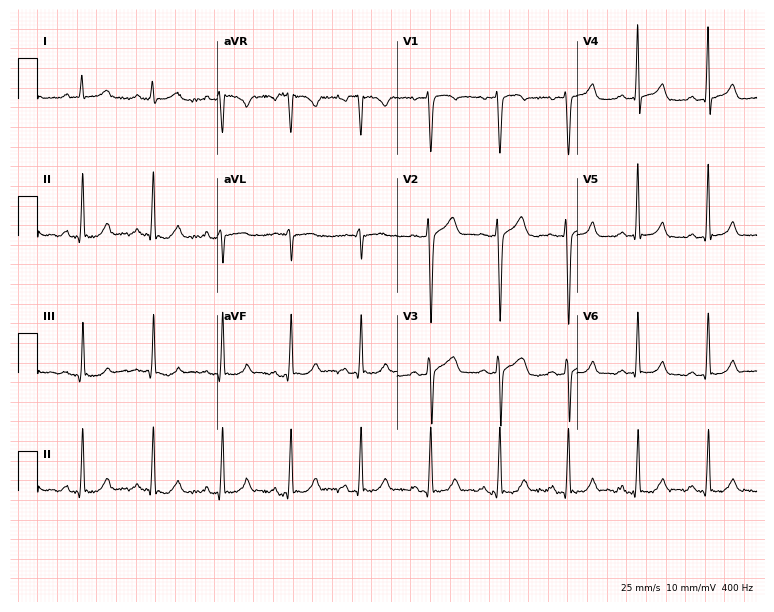
Standard 12-lead ECG recorded from a male, 41 years old. Read as a normal ECG.